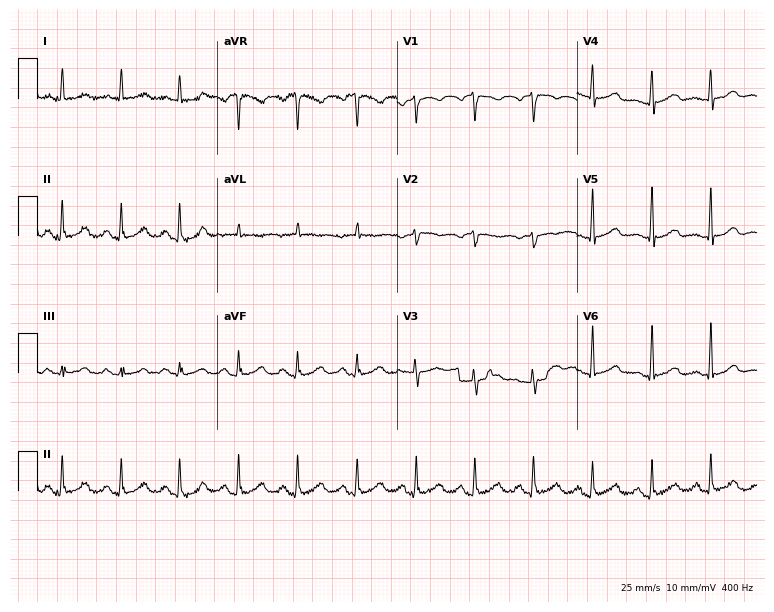
Standard 12-lead ECG recorded from a female patient, 71 years old (7.3-second recording at 400 Hz). Read as a normal ECG.